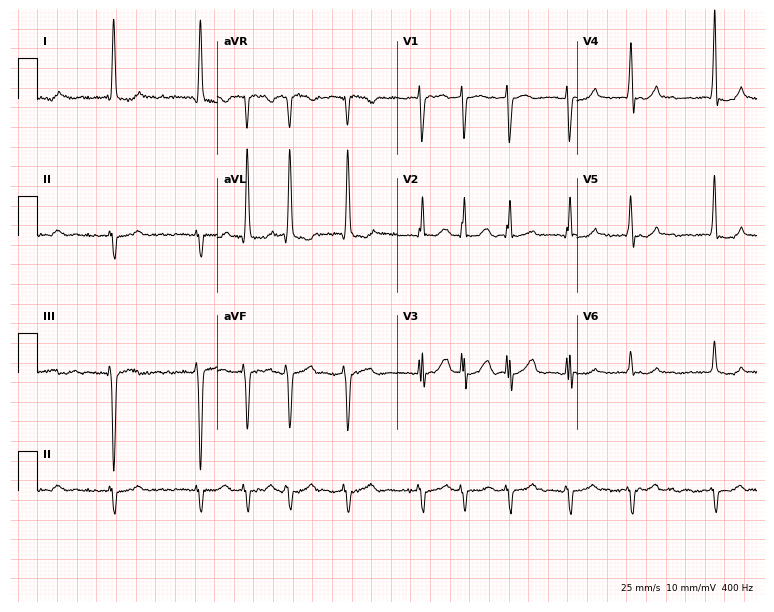
12-lead ECG from an 81-year-old female. Findings include atrial fibrillation.